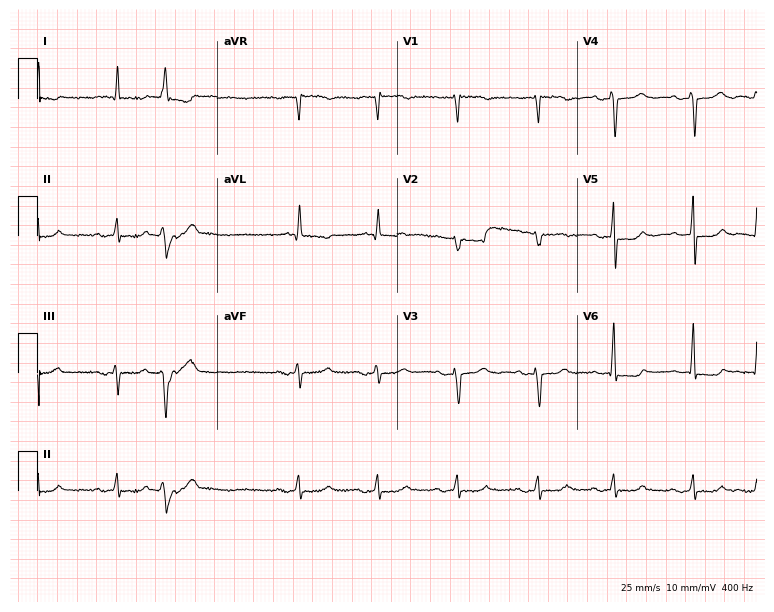
12-lead ECG from an 81-year-old female patient (7.3-second recording at 400 Hz). No first-degree AV block, right bundle branch block (RBBB), left bundle branch block (LBBB), sinus bradycardia, atrial fibrillation (AF) or sinus tachycardia recorded for this tracing. Other findings, if any, are not listed.